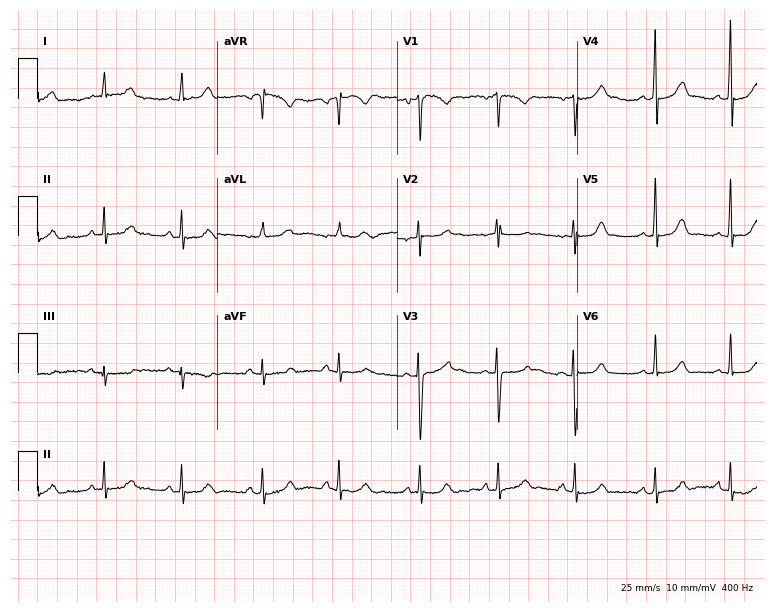
12-lead ECG from a 22-year-old female patient (7.3-second recording at 400 Hz). Recorded interpretation: within normal limits.